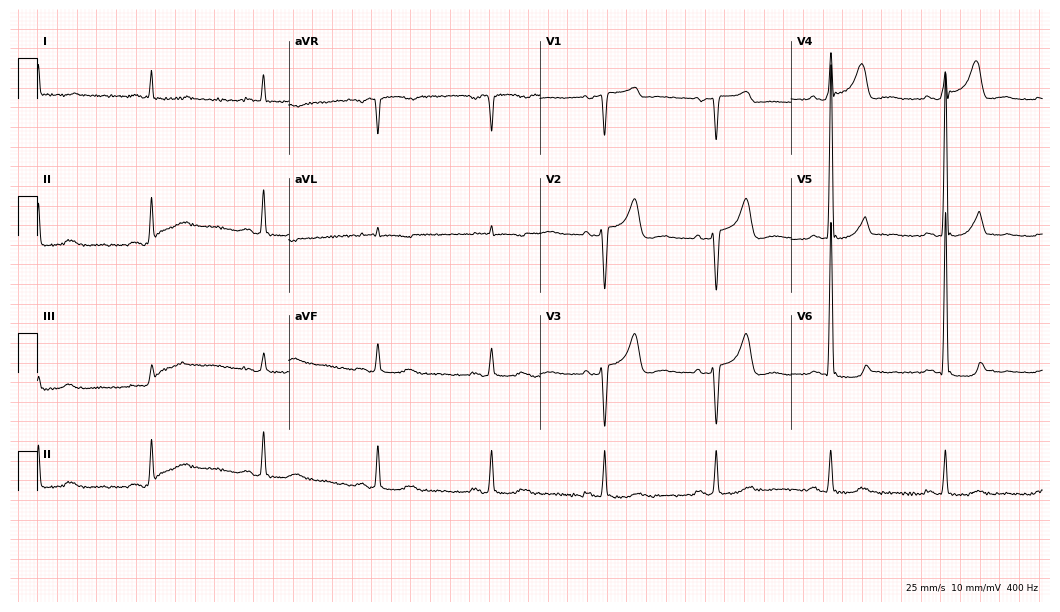
Electrocardiogram (10.2-second recording at 400 Hz), a man, 75 years old. Of the six screened findings (first-degree AV block, right bundle branch block (RBBB), left bundle branch block (LBBB), sinus bradycardia, atrial fibrillation (AF), sinus tachycardia), none is recorded.